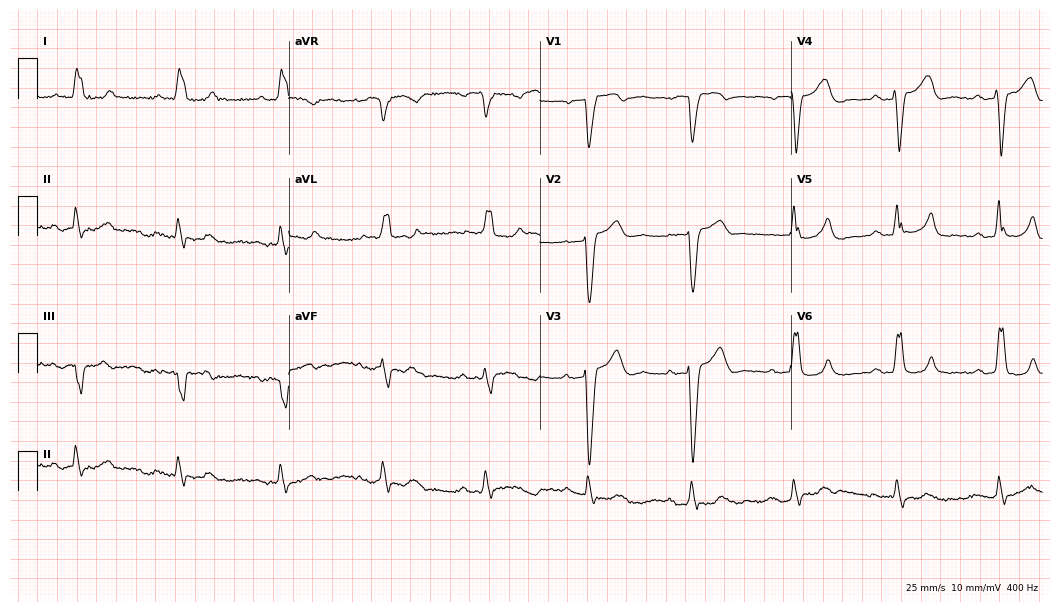
12-lead ECG (10.2-second recording at 400 Hz) from a woman, 73 years old. Screened for six findings — first-degree AV block, right bundle branch block, left bundle branch block, sinus bradycardia, atrial fibrillation, sinus tachycardia — none is recorded.